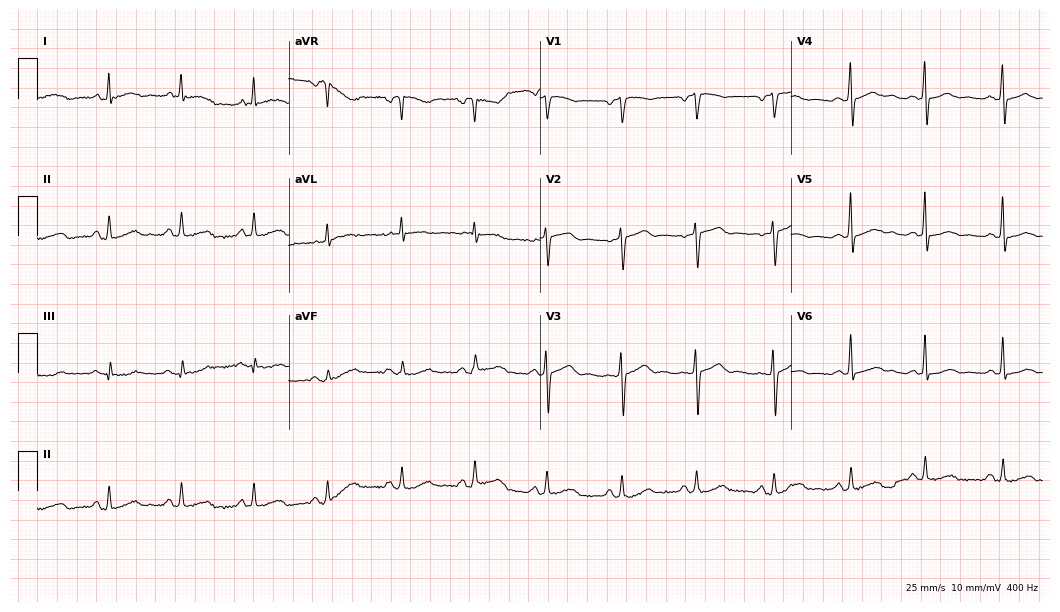
12-lead ECG from a 50-year-old woman. Screened for six findings — first-degree AV block, right bundle branch block (RBBB), left bundle branch block (LBBB), sinus bradycardia, atrial fibrillation (AF), sinus tachycardia — none is recorded. Only these six findings were labelled.